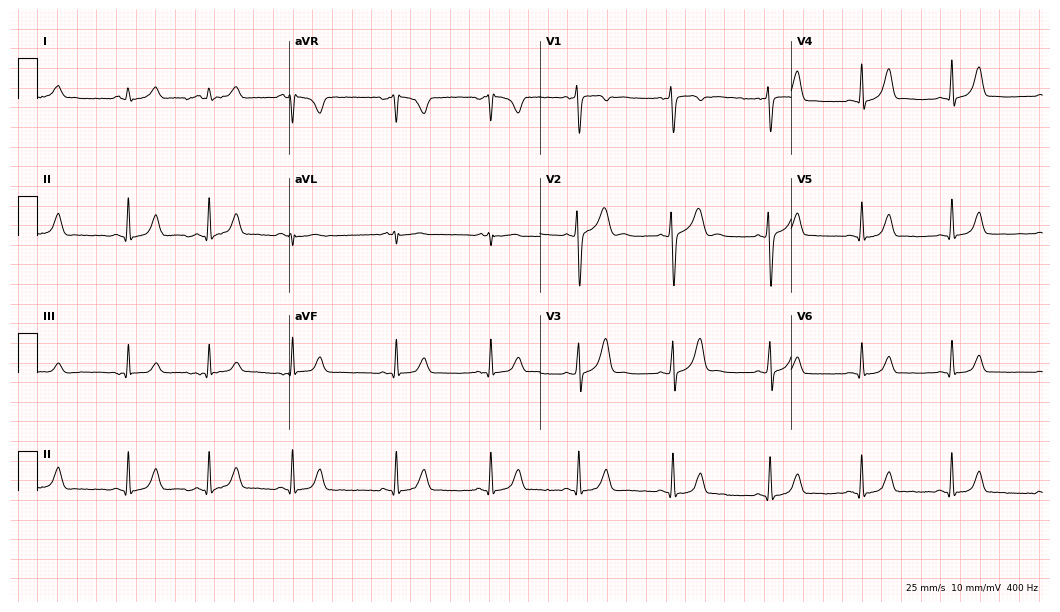
12-lead ECG (10.2-second recording at 400 Hz) from a 22-year-old woman. Screened for six findings — first-degree AV block, right bundle branch block, left bundle branch block, sinus bradycardia, atrial fibrillation, sinus tachycardia — none is recorded. Only these six findings were labelled.